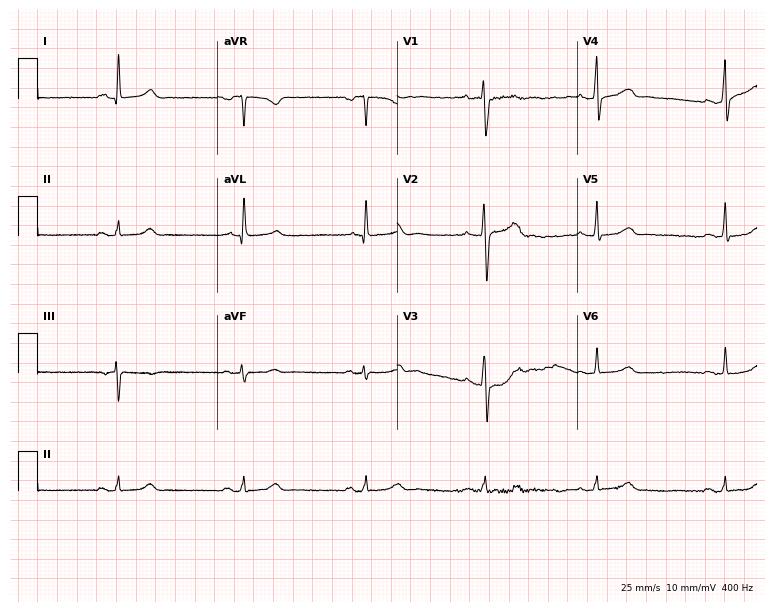
Electrocardiogram, a male, 55 years old. Interpretation includes sinus bradycardia (a sinus rate of 50 beats per minute or less).